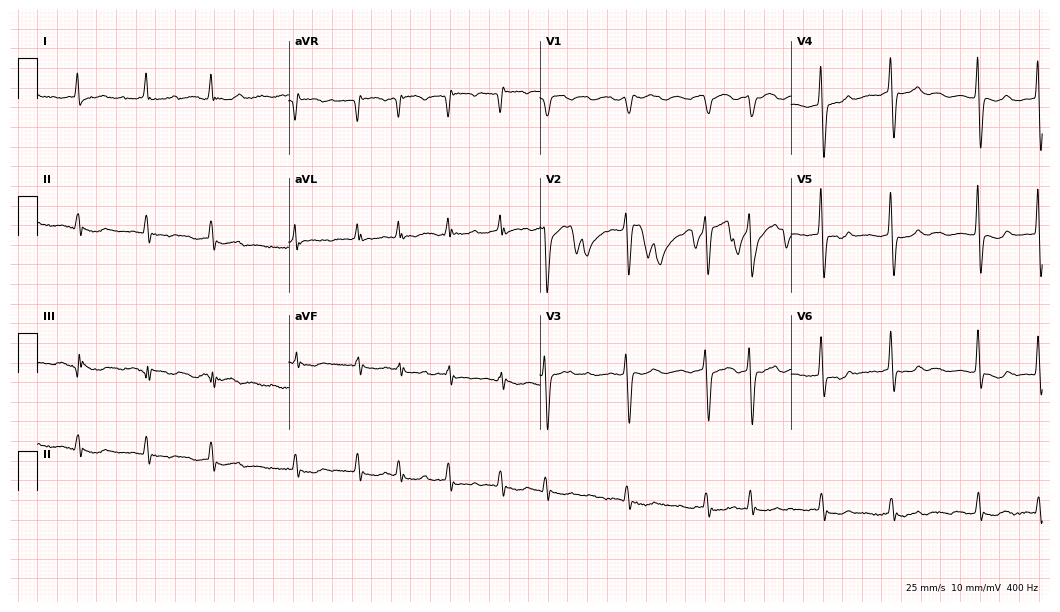
12-lead ECG from a 71-year-old female. Shows atrial fibrillation.